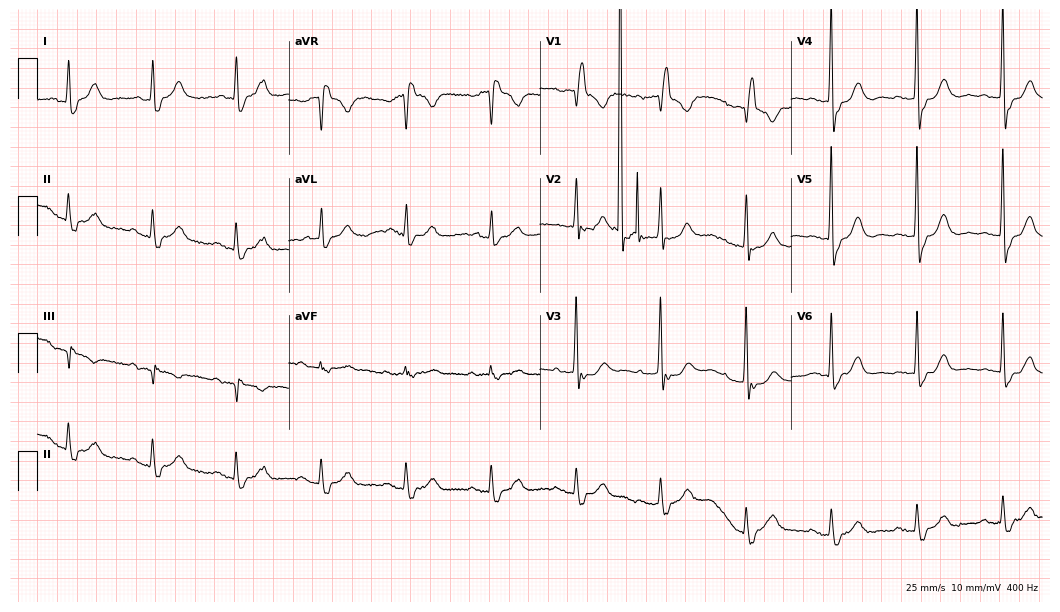
12-lead ECG from a female patient, 77 years old (10.2-second recording at 400 Hz). No first-degree AV block, right bundle branch block (RBBB), left bundle branch block (LBBB), sinus bradycardia, atrial fibrillation (AF) or sinus tachycardia recorded for this tracing.